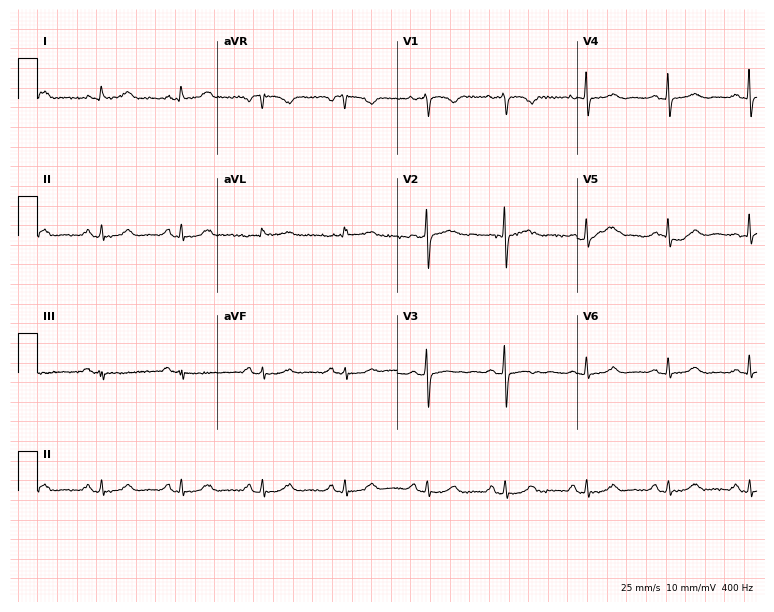
Standard 12-lead ECG recorded from a 56-year-old woman (7.3-second recording at 400 Hz). None of these six findings is recorded: first-degree AV block, right bundle branch block, left bundle branch block, sinus bradycardia, atrial fibrillation, sinus tachycardia. Findings outside these six are not listed.